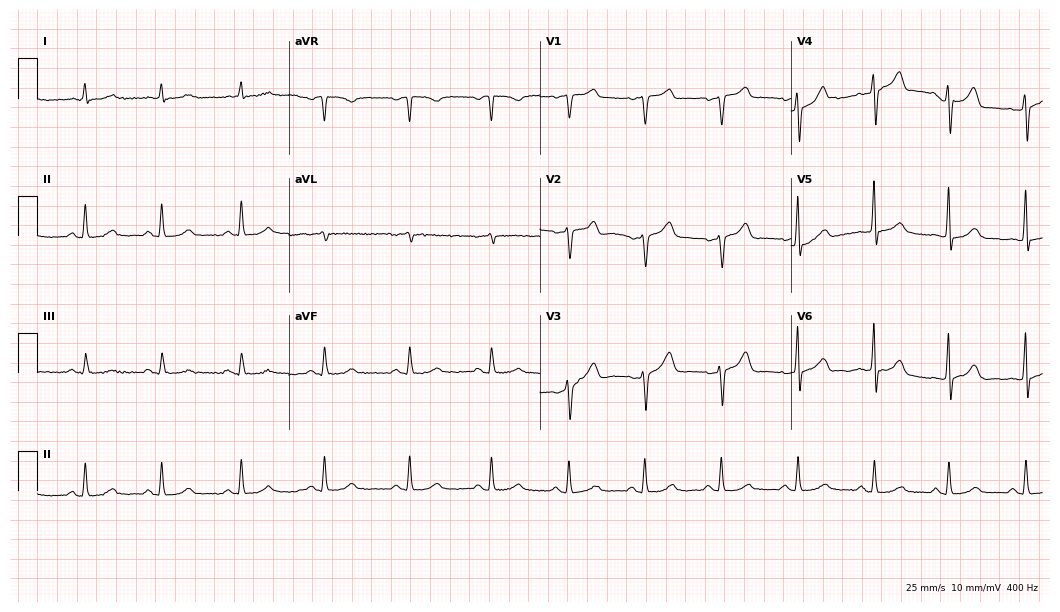
Standard 12-lead ECG recorded from a male patient, 52 years old. Read as a normal ECG.